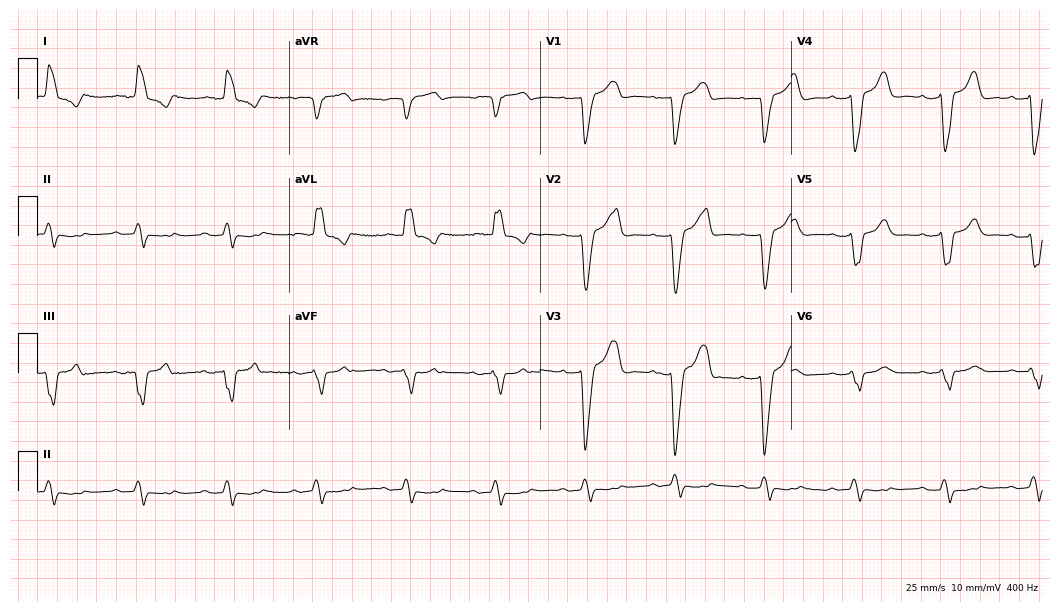
12-lead ECG from a female, 69 years old. Shows first-degree AV block, left bundle branch block.